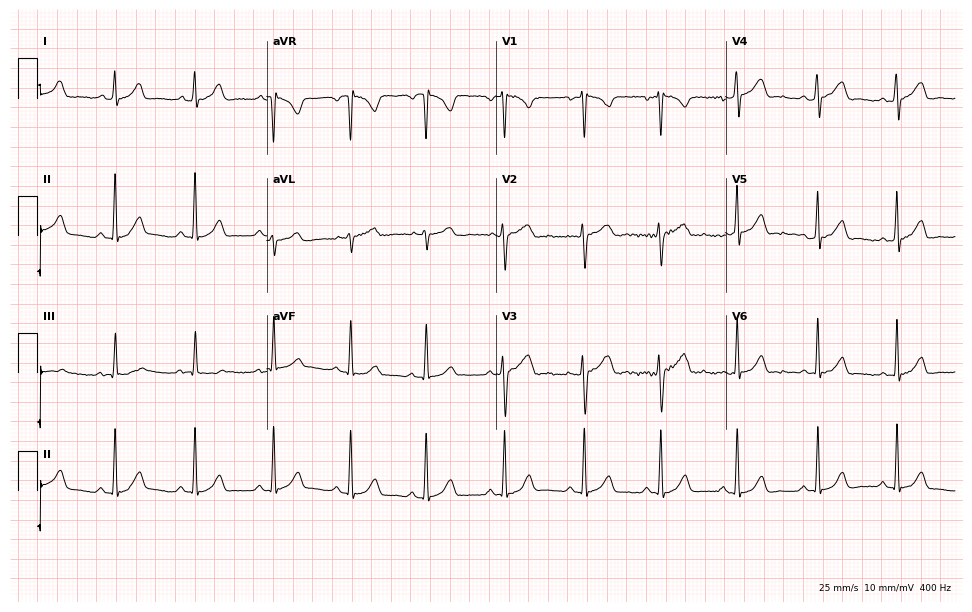
Resting 12-lead electrocardiogram. Patient: a woman, 23 years old. Read as a normal ECG.